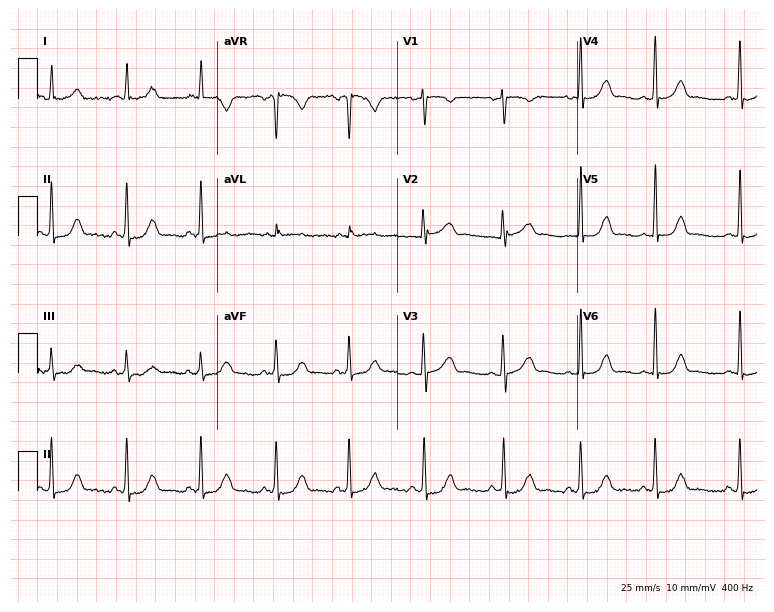
Electrocardiogram (7.3-second recording at 400 Hz), a 26-year-old female. Overall reading on record: normal ECG.